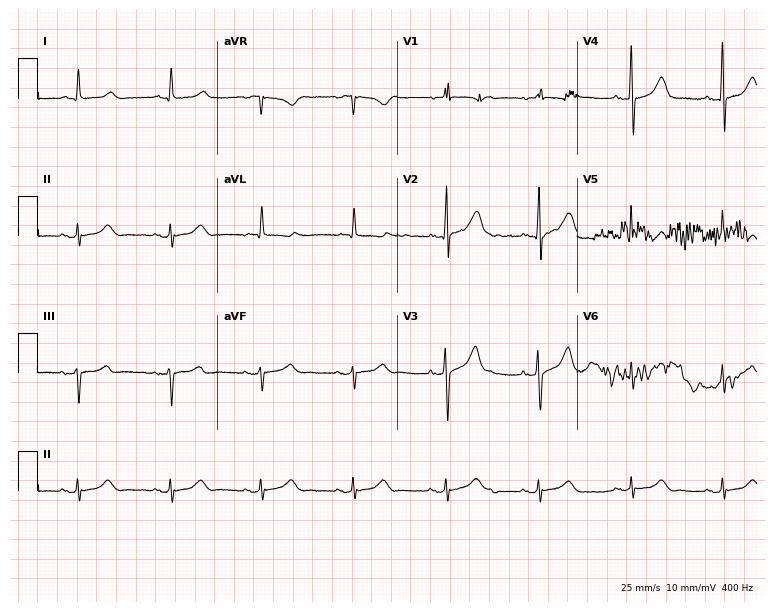
Electrocardiogram (7.3-second recording at 400 Hz), an 80-year-old male. Overall reading on record: normal ECG.